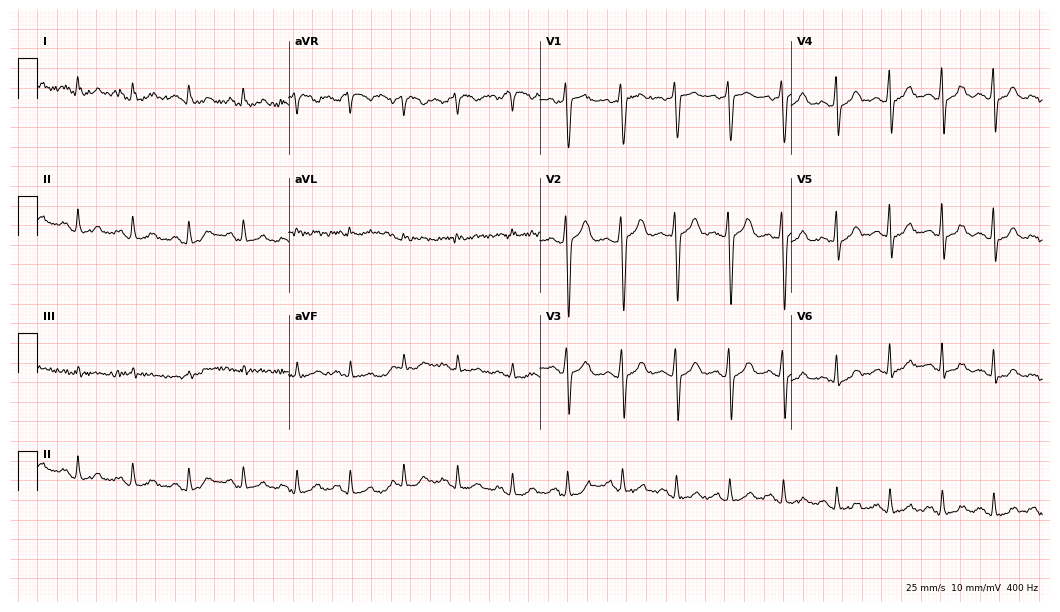
ECG (10.2-second recording at 400 Hz) — a 20-year-old male patient. Findings include sinus tachycardia (a sinus rate of 100 beats per minute or more).